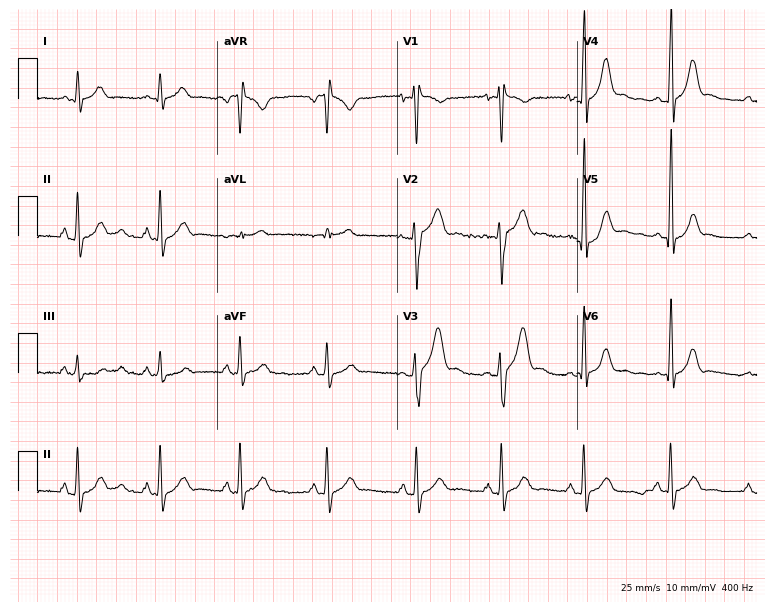
12-lead ECG from a 22-year-old male. Screened for six findings — first-degree AV block, right bundle branch block, left bundle branch block, sinus bradycardia, atrial fibrillation, sinus tachycardia — none is recorded.